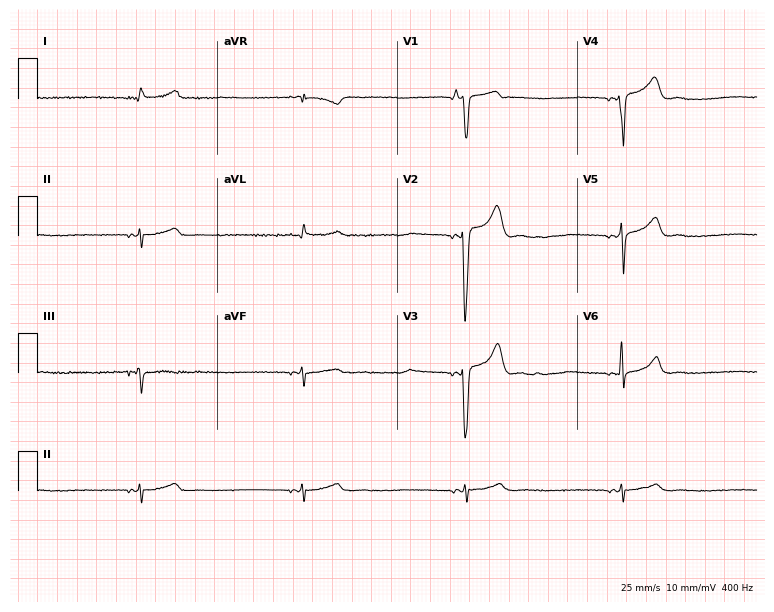
12-lead ECG from a man, 44 years old. Shows sinus bradycardia (a sinus rate of 50 beats per minute or less).